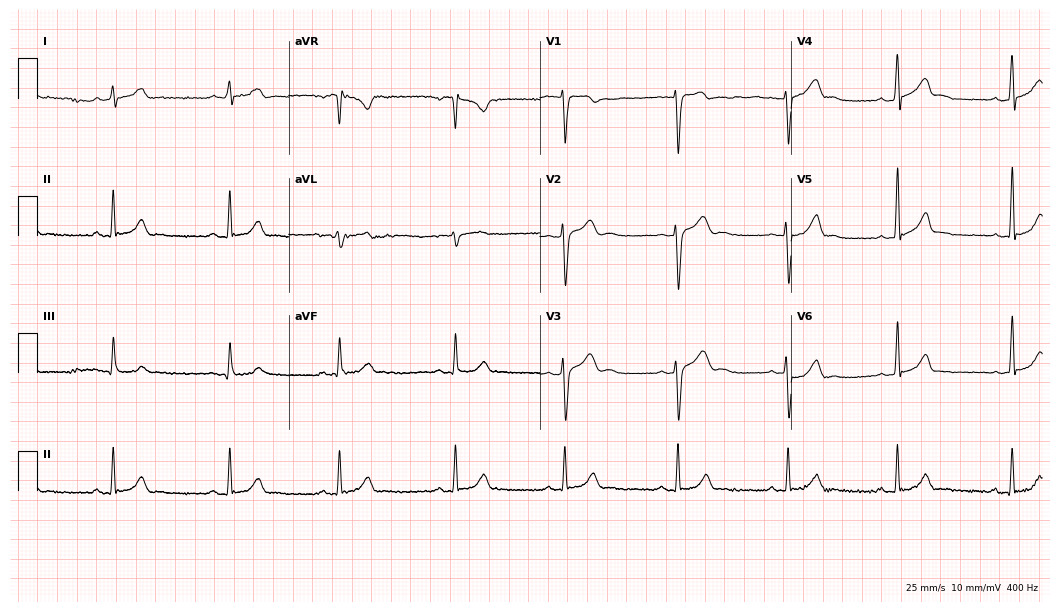
Resting 12-lead electrocardiogram. Patient: a 19-year-old man. Read as a normal ECG.